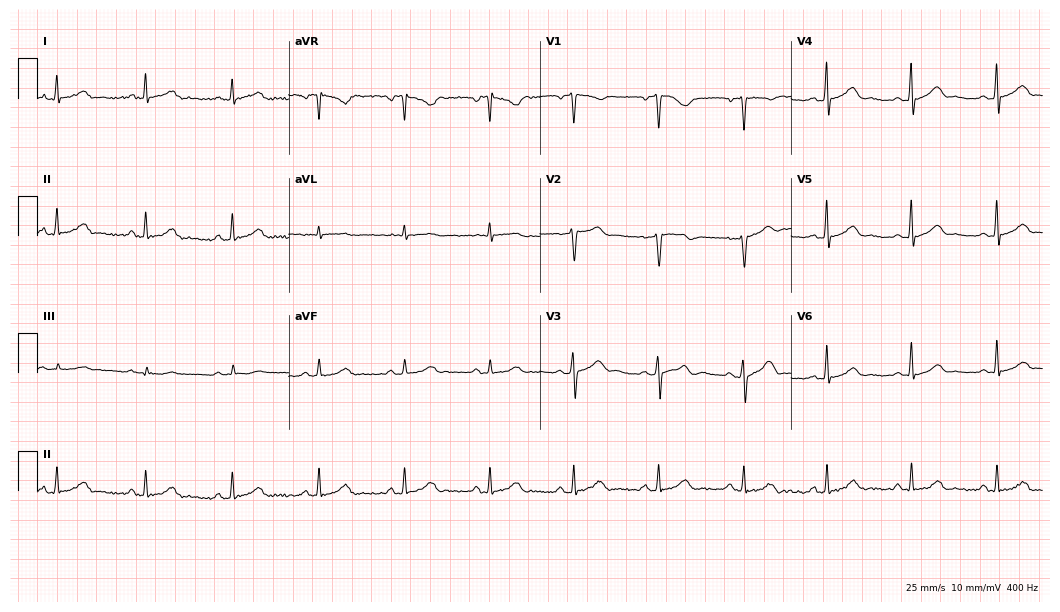
Electrocardiogram (10.2-second recording at 400 Hz), a 51-year-old woman. Overall reading on record: normal ECG.